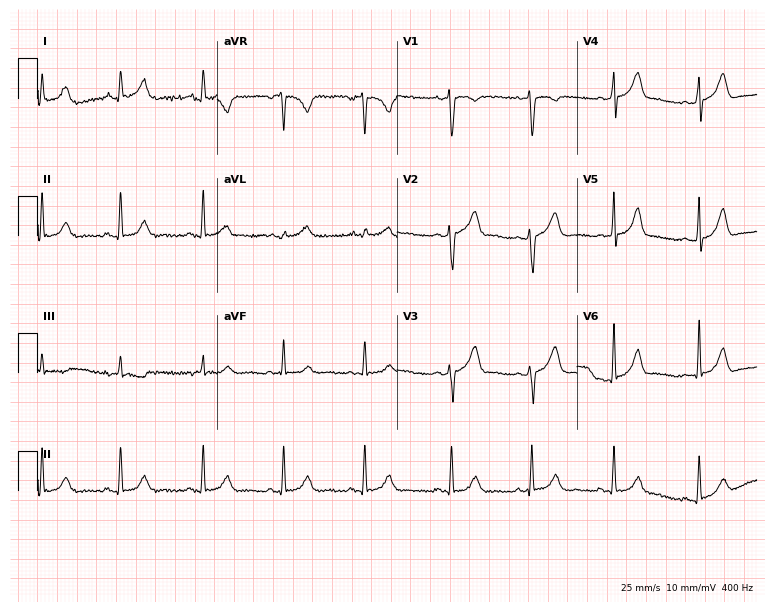
12-lead ECG from a female, 26 years old (7.3-second recording at 400 Hz). Recorded interpretation: within normal limits.